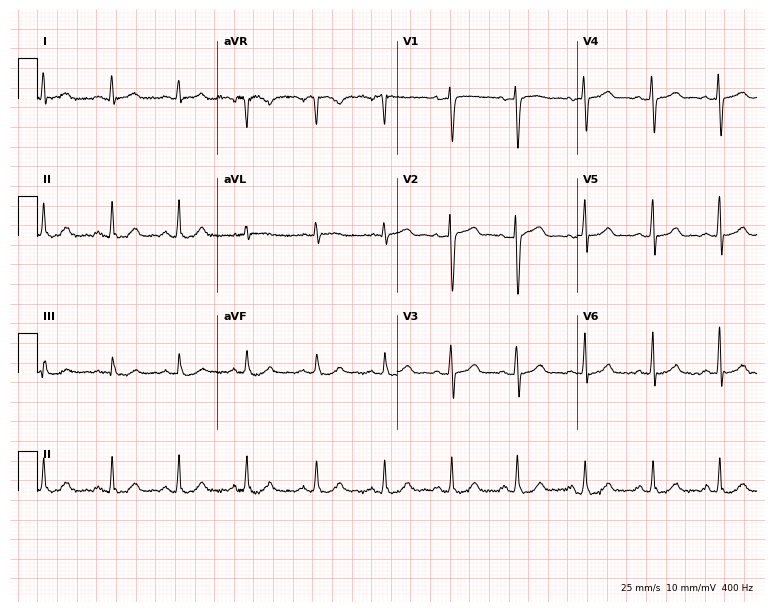
Resting 12-lead electrocardiogram. Patient: a woman, 33 years old. Read as a normal ECG.